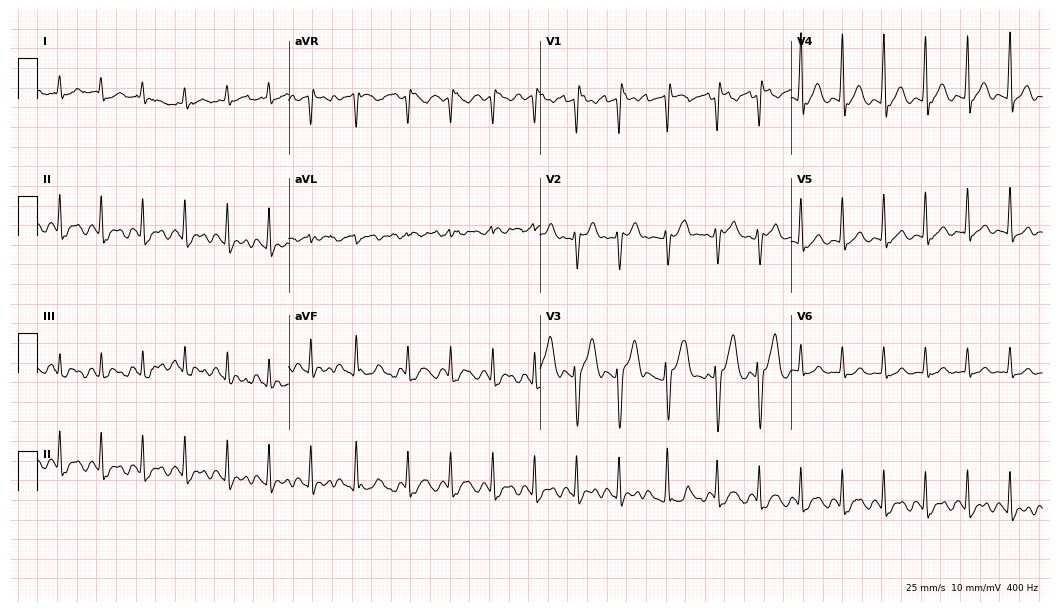
12-lead ECG from a male patient, 78 years old (10.2-second recording at 400 Hz). No first-degree AV block, right bundle branch block (RBBB), left bundle branch block (LBBB), sinus bradycardia, atrial fibrillation (AF) or sinus tachycardia recorded for this tracing.